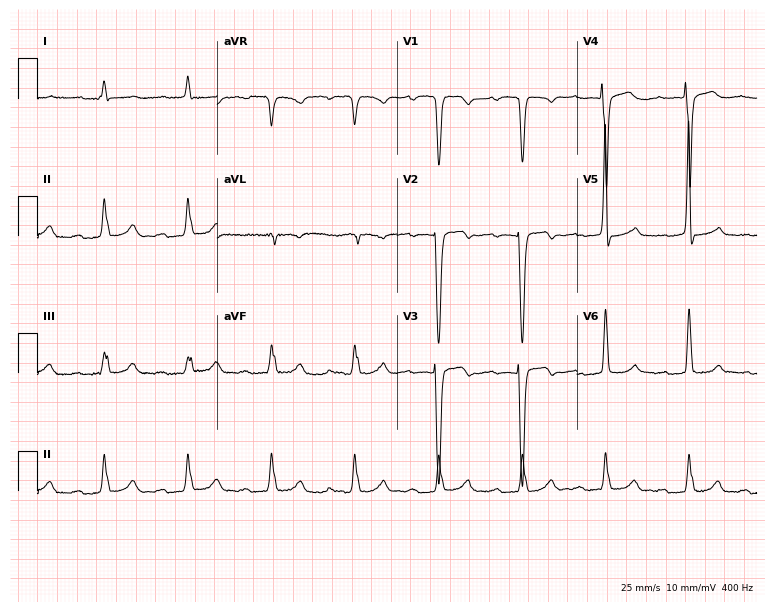
Electrocardiogram (7.3-second recording at 400 Hz), a male, 50 years old. Interpretation includes first-degree AV block.